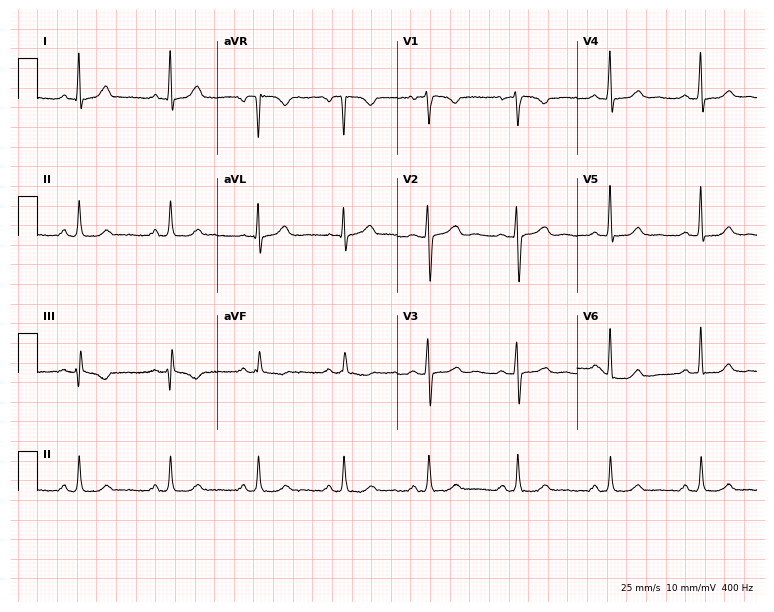
Standard 12-lead ECG recorded from a 43-year-old female (7.3-second recording at 400 Hz). None of these six findings is recorded: first-degree AV block, right bundle branch block, left bundle branch block, sinus bradycardia, atrial fibrillation, sinus tachycardia. Findings outside these six are not listed.